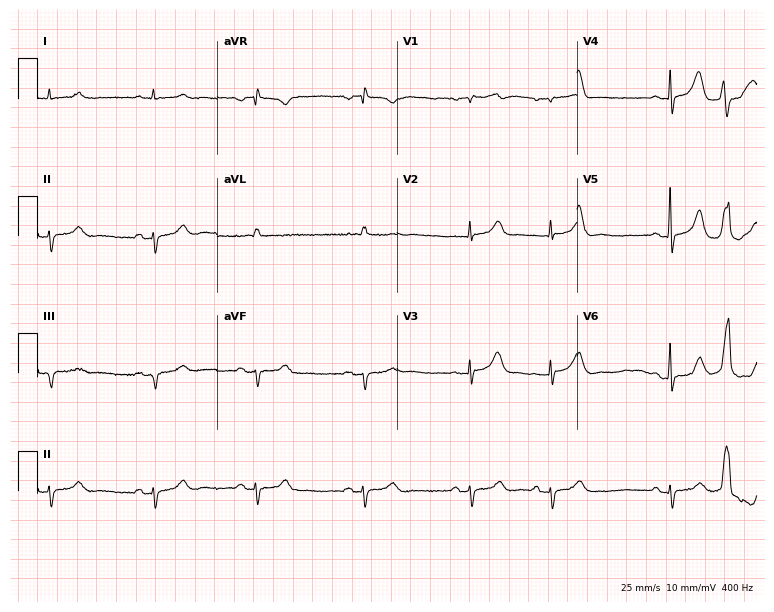
12-lead ECG from a man, 76 years old. No first-degree AV block, right bundle branch block, left bundle branch block, sinus bradycardia, atrial fibrillation or sinus tachycardia recorded for this tracing.